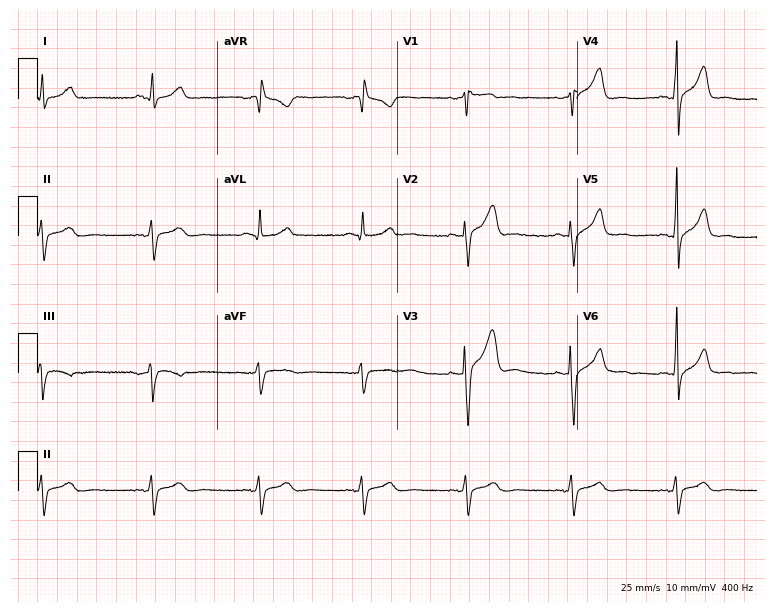
12-lead ECG (7.3-second recording at 400 Hz) from a male patient, 30 years old. Screened for six findings — first-degree AV block, right bundle branch block, left bundle branch block, sinus bradycardia, atrial fibrillation, sinus tachycardia — none is recorded.